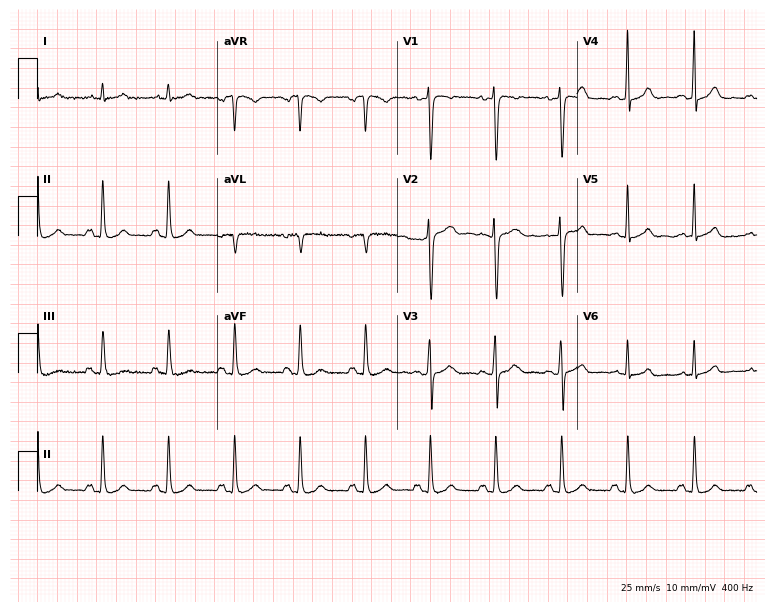
ECG — a male patient, 35 years old. Labelled as a normal ECG.